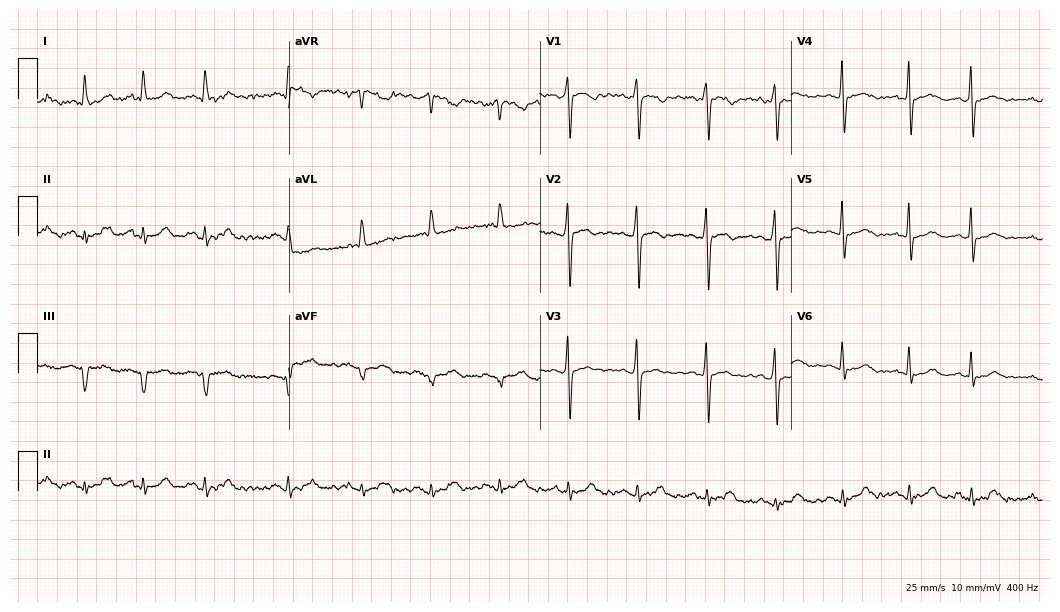
Electrocardiogram, a 53-year-old woman. Of the six screened findings (first-degree AV block, right bundle branch block, left bundle branch block, sinus bradycardia, atrial fibrillation, sinus tachycardia), none is recorded. Other findings, if any, are not listed.